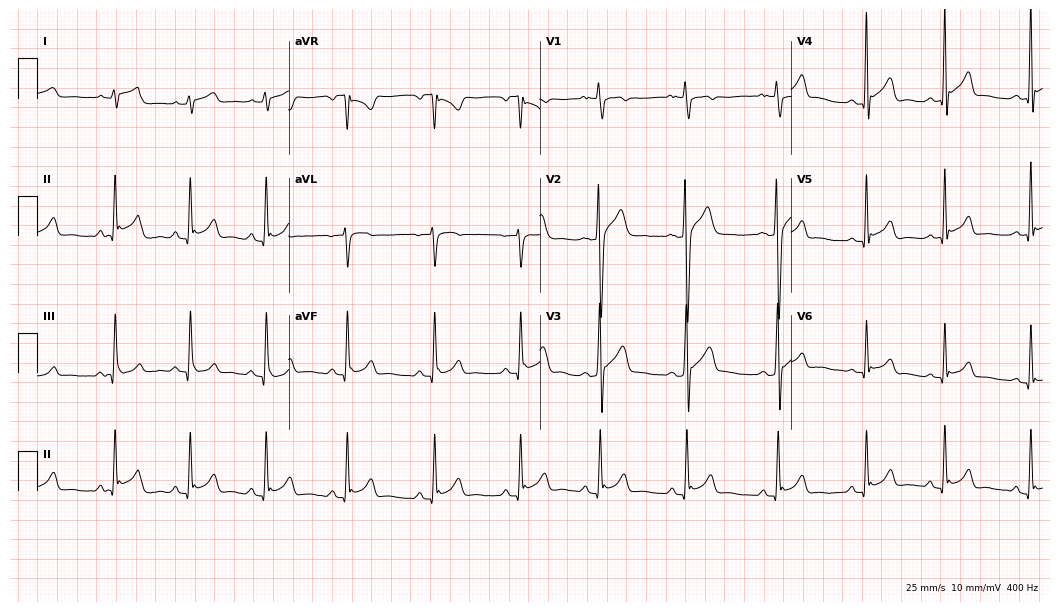
Electrocardiogram, a man, 23 years old. Of the six screened findings (first-degree AV block, right bundle branch block, left bundle branch block, sinus bradycardia, atrial fibrillation, sinus tachycardia), none is recorded.